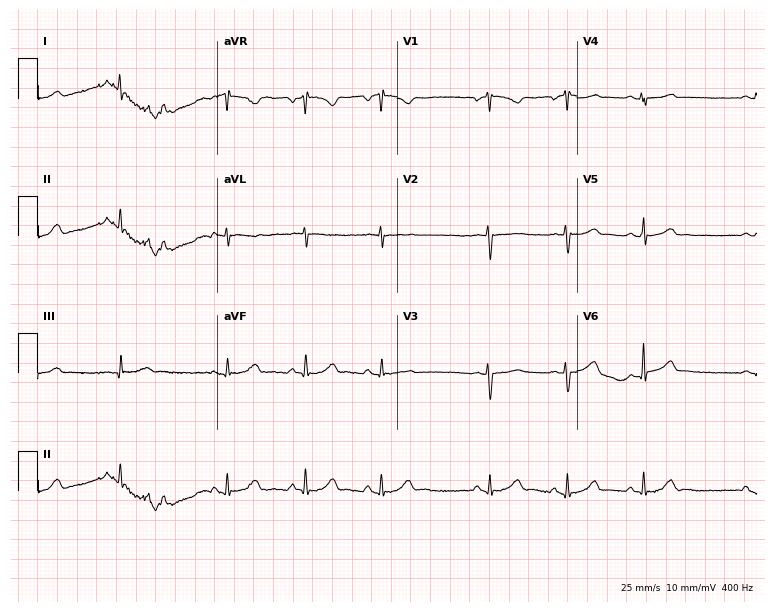
ECG — a 24-year-old female patient. Screened for six findings — first-degree AV block, right bundle branch block, left bundle branch block, sinus bradycardia, atrial fibrillation, sinus tachycardia — none is recorded.